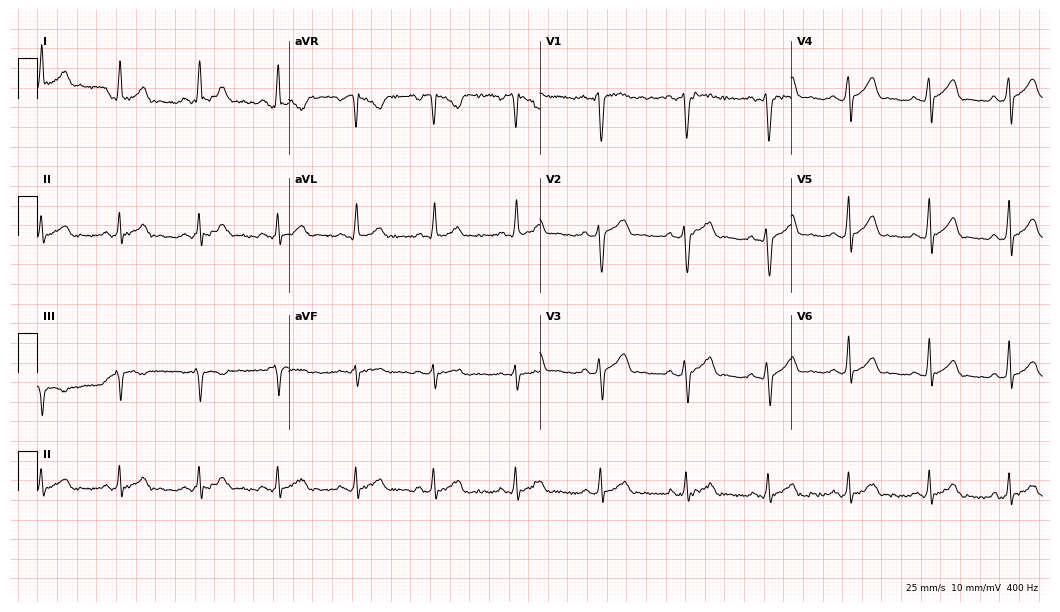
12-lead ECG from a 22-year-old male patient. Recorded interpretation: within normal limits.